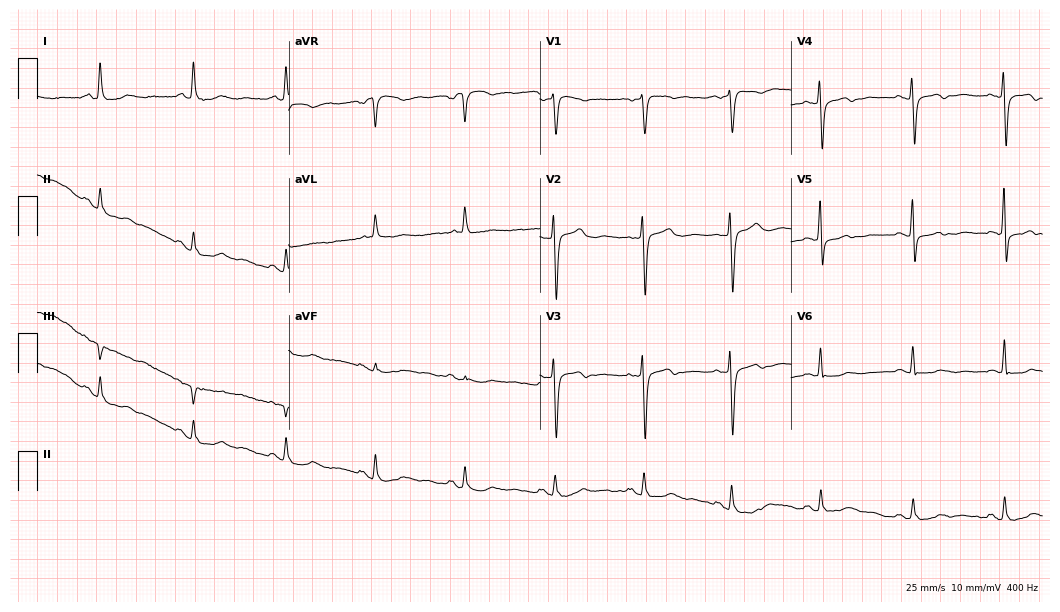
Standard 12-lead ECG recorded from an 82-year-old woman (10.2-second recording at 400 Hz). None of these six findings is recorded: first-degree AV block, right bundle branch block (RBBB), left bundle branch block (LBBB), sinus bradycardia, atrial fibrillation (AF), sinus tachycardia. Findings outside these six are not listed.